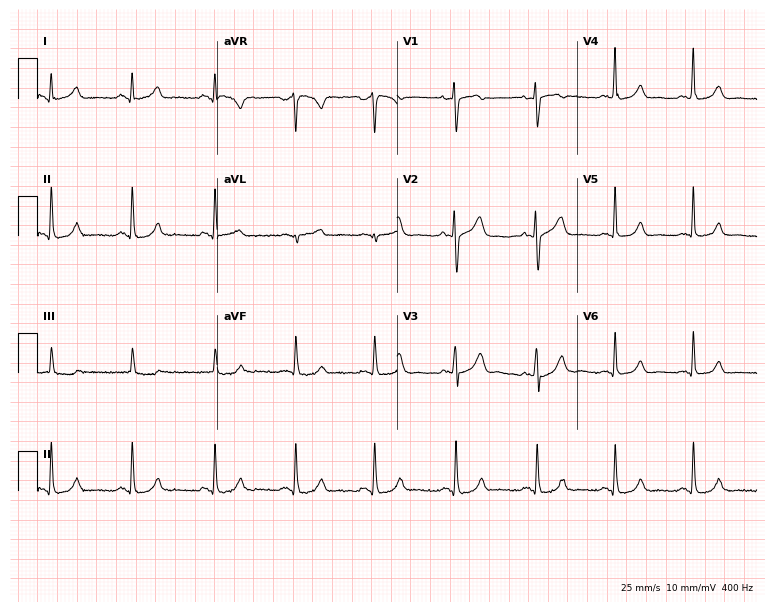
12-lead ECG from a 43-year-old female (7.3-second recording at 400 Hz). Recorded interpretation: within normal limits.